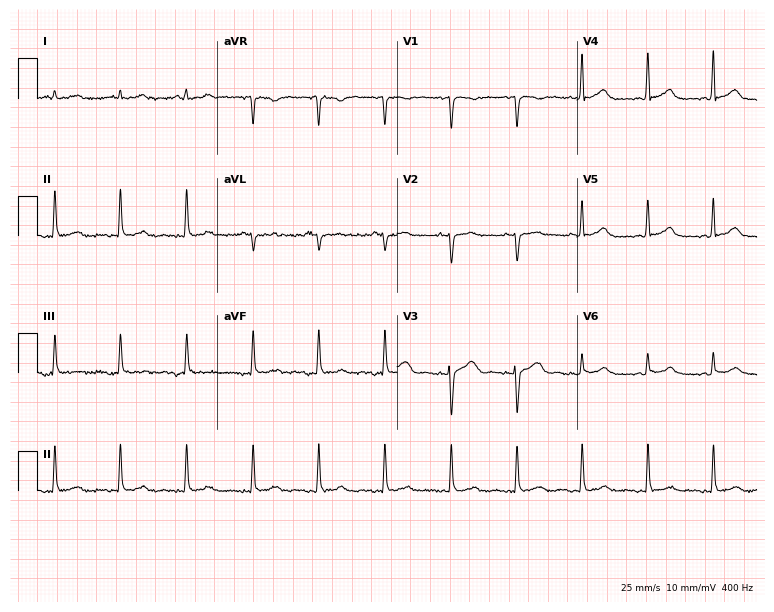
12-lead ECG from a 42-year-old female (7.3-second recording at 400 Hz). Recorded interpretation: within normal limits.